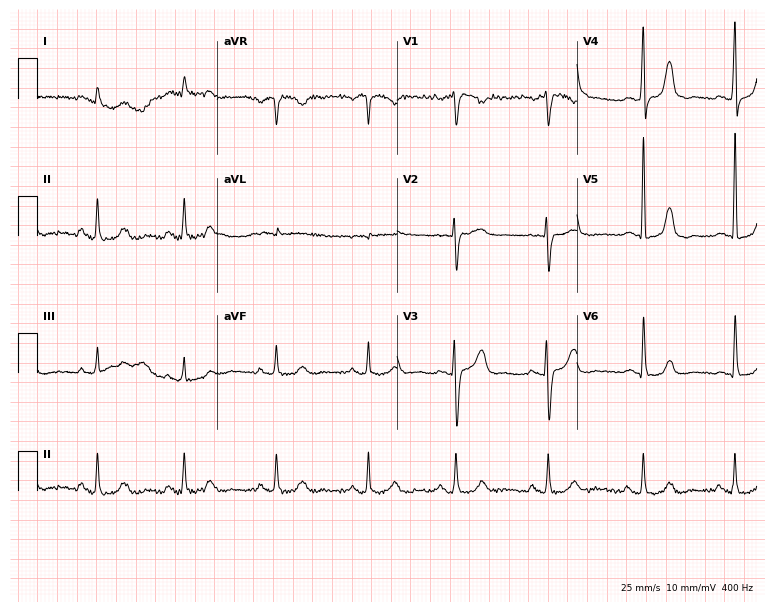
12-lead ECG from a 53-year-old woman (7.3-second recording at 400 Hz). No first-degree AV block, right bundle branch block, left bundle branch block, sinus bradycardia, atrial fibrillation or sinus tachycardia recorded for this tracing. Only these six findings were labelled.